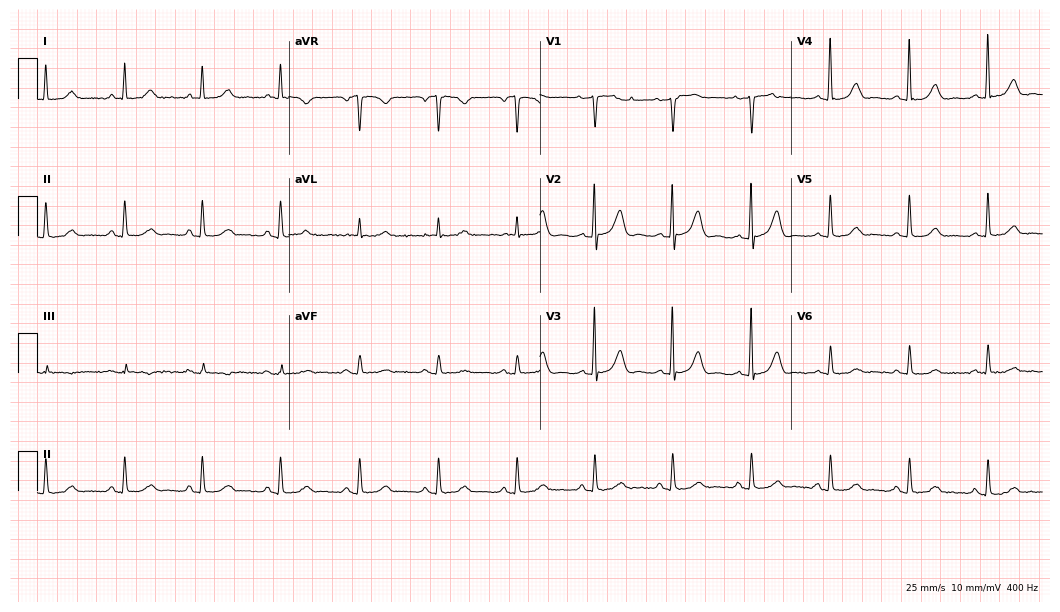
Resting 12-lead electrocardiogram (10.2-second recording at 400 Hz). Patient: a 64-year-old female. Read as a normal ECG.